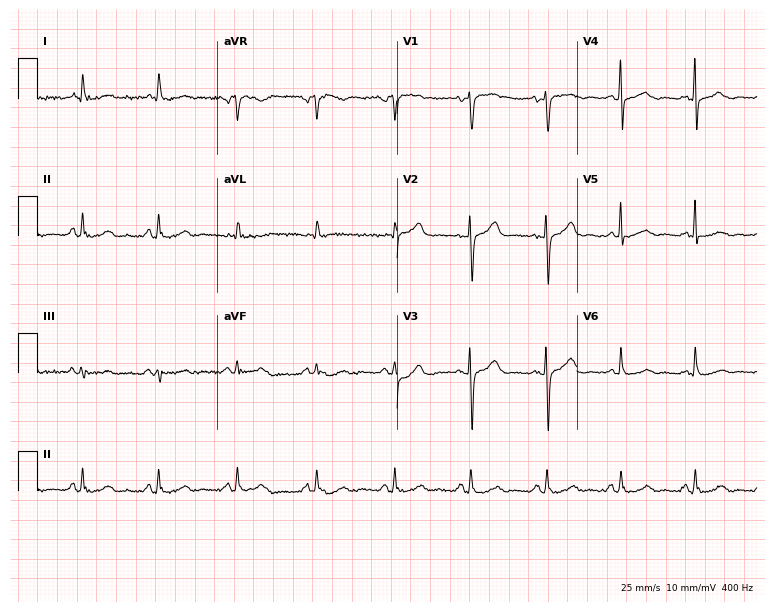
Standard 12-lead ECG recorded from a 52-year-old female patient (7.3-second recording at 400 Hz). None of these six findings is recorded: first-degree AV block, right bundle branch block, left bundle branch block, sinus bradycardia, atrial fibrillation, sinus tachycardia.